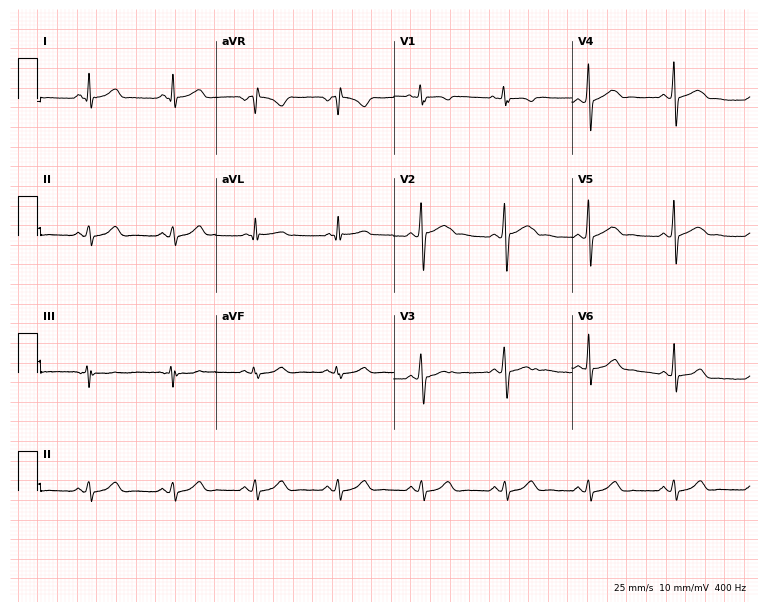
ECG (7.3-second recording at 400 Hz) — a 39-year-old man. Screened for six findings — first-degree AV block, right bundle branch block, left bundle branch block, sinus bradycardia, atrial fibrillation, sinus tachycardia — none is recorded.